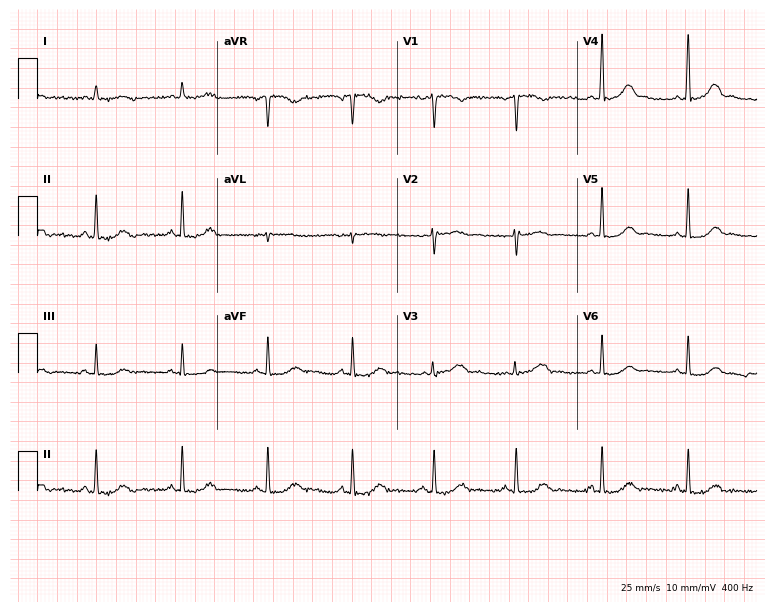
12-lead ECG from a 39-year-old female patient. No first-degree AV block, right bundle branch block, left bundle branch block, sinus bradycardia, atrial fibrillation or sinus tachycardia recorded for this tracing.